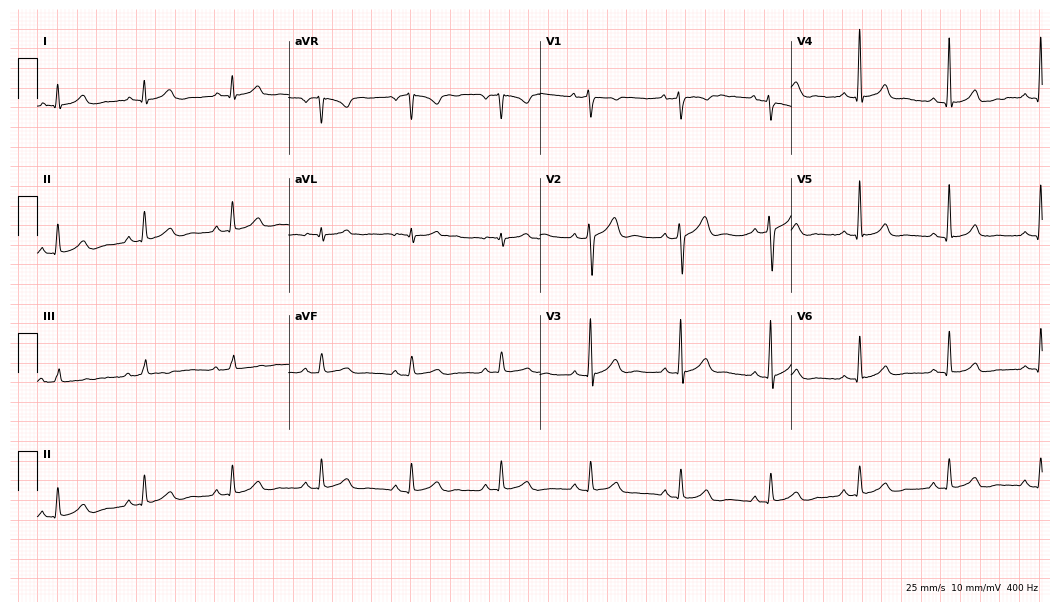
Resting 12-lead electrocardiogram (10.2-second recording at 400 Hz). Patient: a 48-year-old male. Read as a normal ECG.